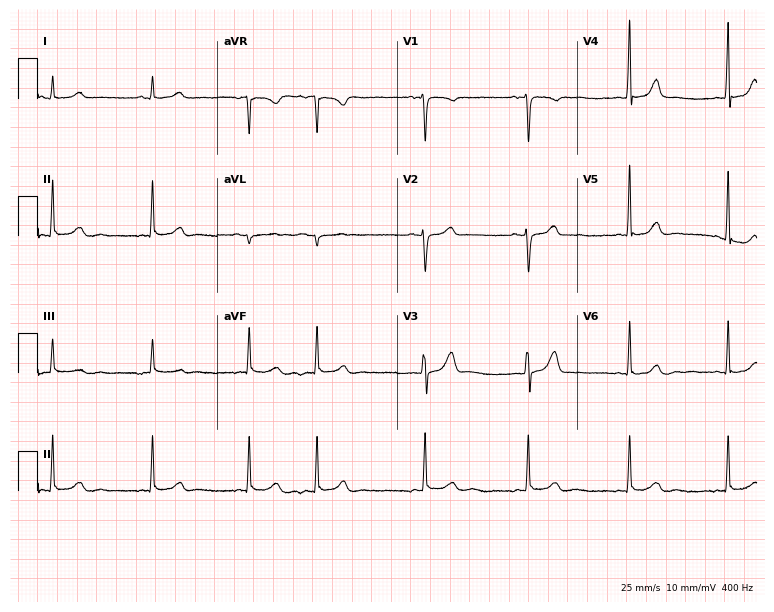
Standard 12-lead ECG recorded from a 34-year-old female. None of these six findings is recorded: first-degree AV block, right bundle branch block (RBBB), left bundle branch block (LBBB), sinus bradycardia, atrial fibrillation (AF), sinus tachycardia. Other findings, if any, are not listed.